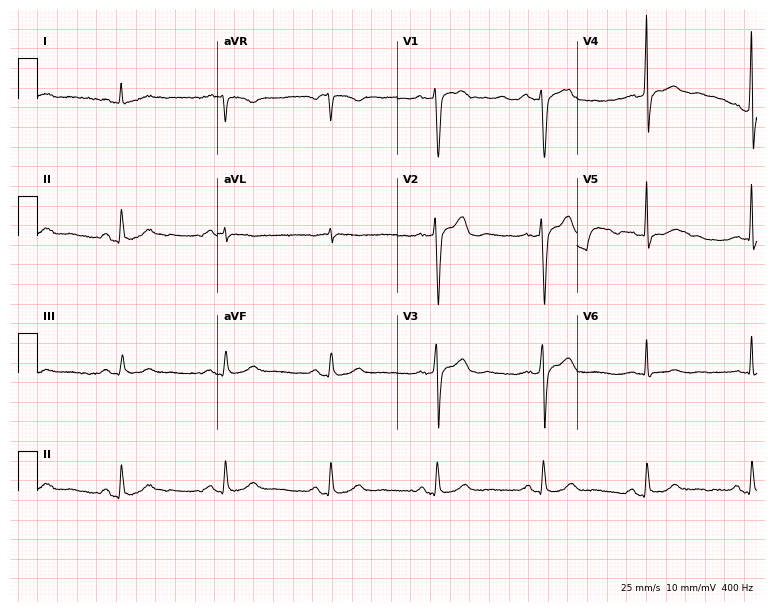
Standard 12-lead ECG recorded from a 52-year-old man. Read as a normal ECG.